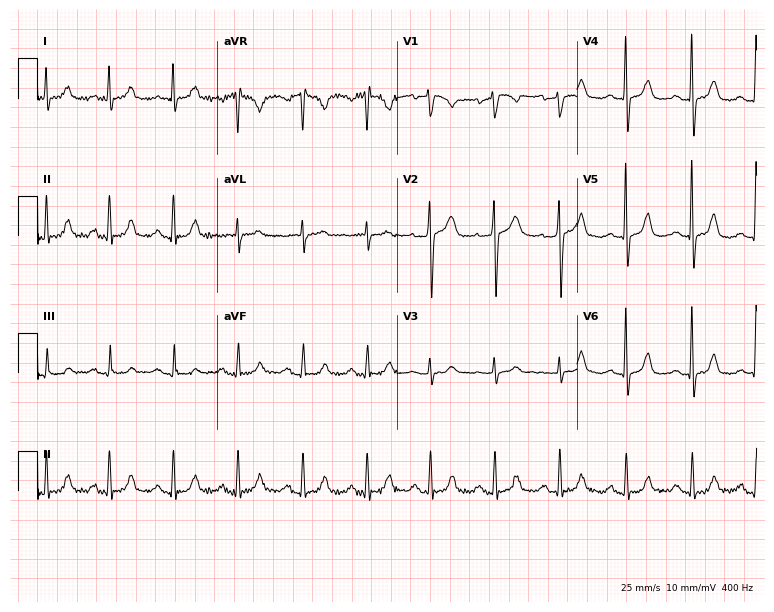
Electrocardiogram, a female patient, 71 years old. Overall reading on record: normal ECG.